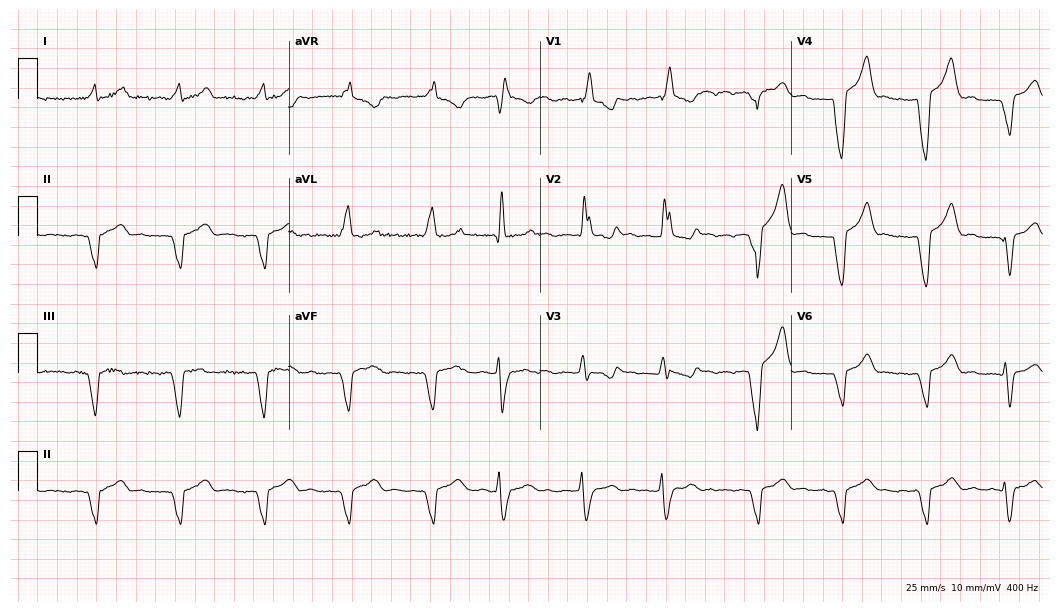
ECG — a 67-year-old woman. Screened for six findings — first-degree AV block, right bundle branch block (RBBB), left bundle branch block (LBBB), sinus bradycardia, atrial fibrillation (AF), sinus tachycardia — none is recorded. Findings outside these six are not listed.